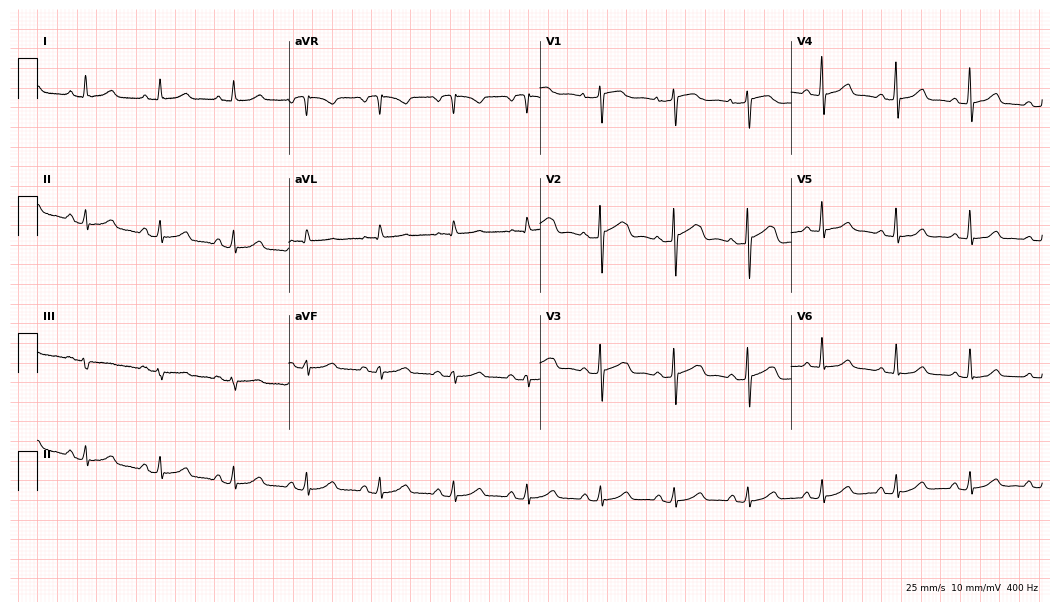
Standard 12-lead ECG recorded from a woman, 53 years old. None of these six findings is recorded: first-degree AV block, right bundle branch block (RBBB), left bundle branch block (LBBB), sinus bradycardia, atrial fibrillation (AF), sinus tachycardia.